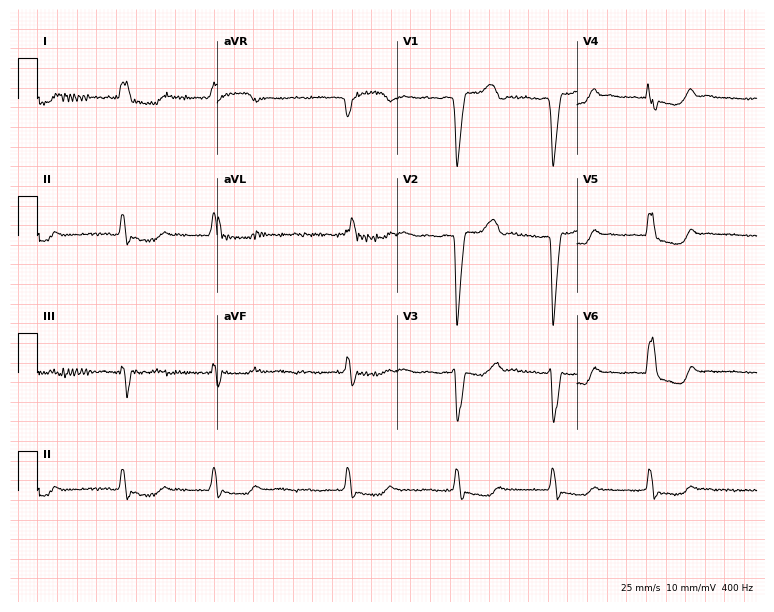
Electrocardiogram, a 76-year-old female patient. Interpretation includes left bundle branch block (LBBB), atrial fibrillation (AF).